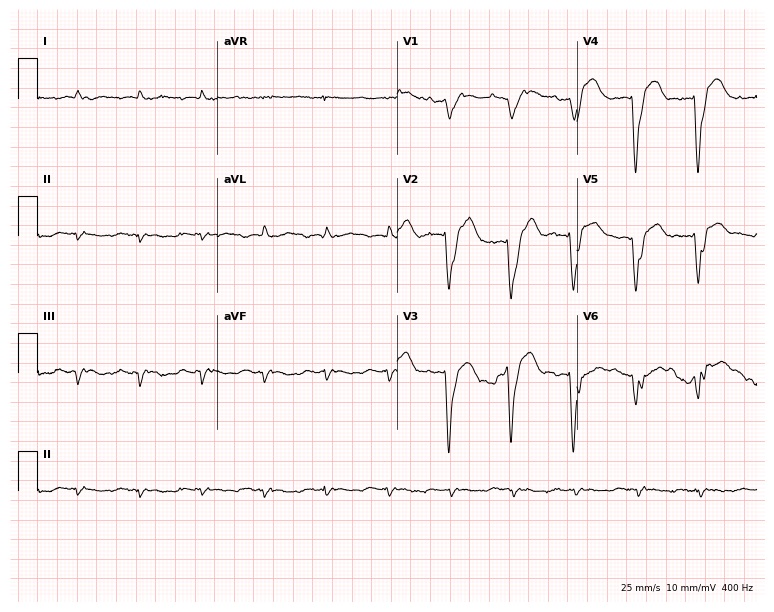
Electrocardiogram, a male, 78 years old. Of the six screened findings (first-degree AV block, right bundle branch block (RBBB), left bundle branch block (LBBB), sinus bradycardia, atrial fibrillation (AF), sinus tachycardia), none is recorded.